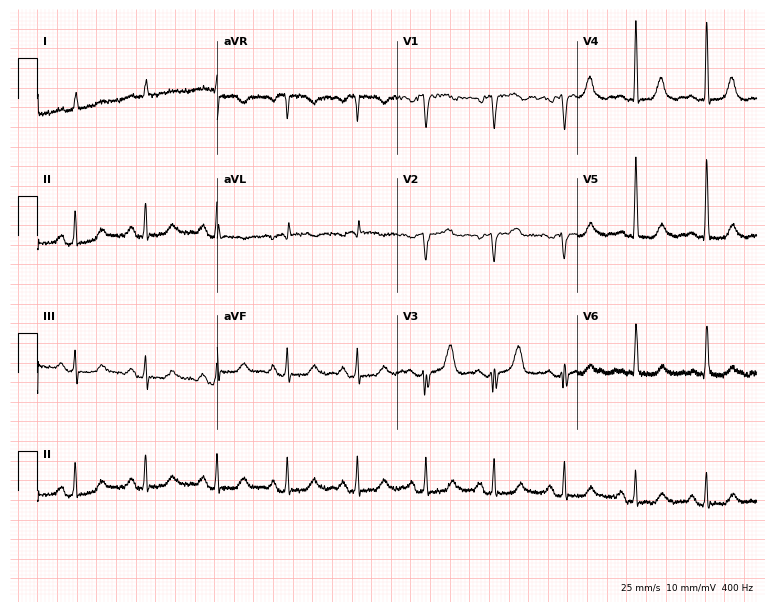
Standard 12-lead ECG recorded from a male patient, 82 years old. Read as a normal ECG.